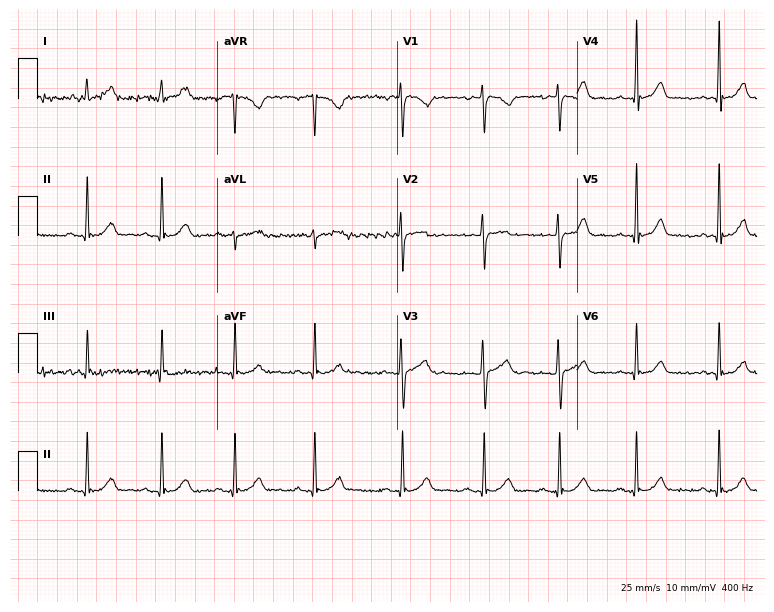
12-lead ECG from a 28-year-old female patient (7.3-second recording at 400 Hz). Recorded interpretation: within normal limits.